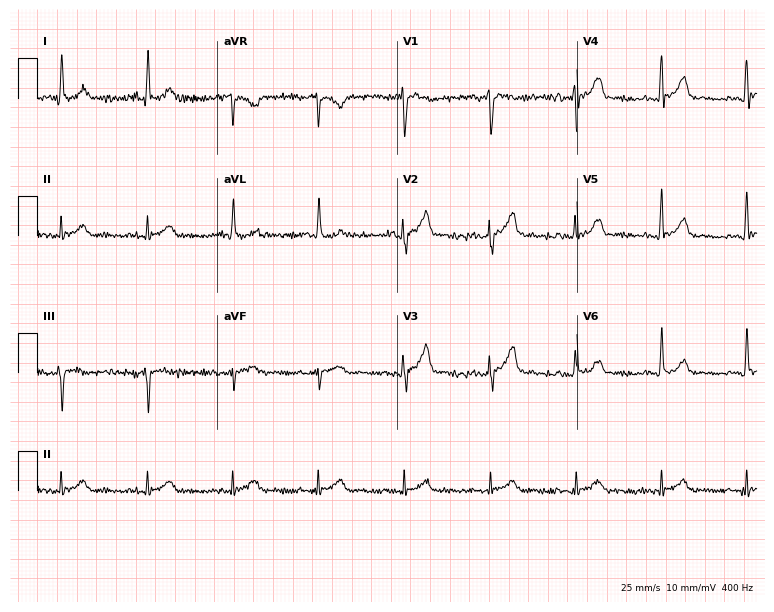
Electrocardiogram (7.3-second recording at 400 Hz), a man, 43 years old. Of the six screened findings (first-degree AV block, right bundle branch block (RBBB), left bundle branch block (LBBB), sinus bradycardia, atrial fibrillation (AF), sinus tachycardia), none is recorded. Other findings, if any, are not listed.